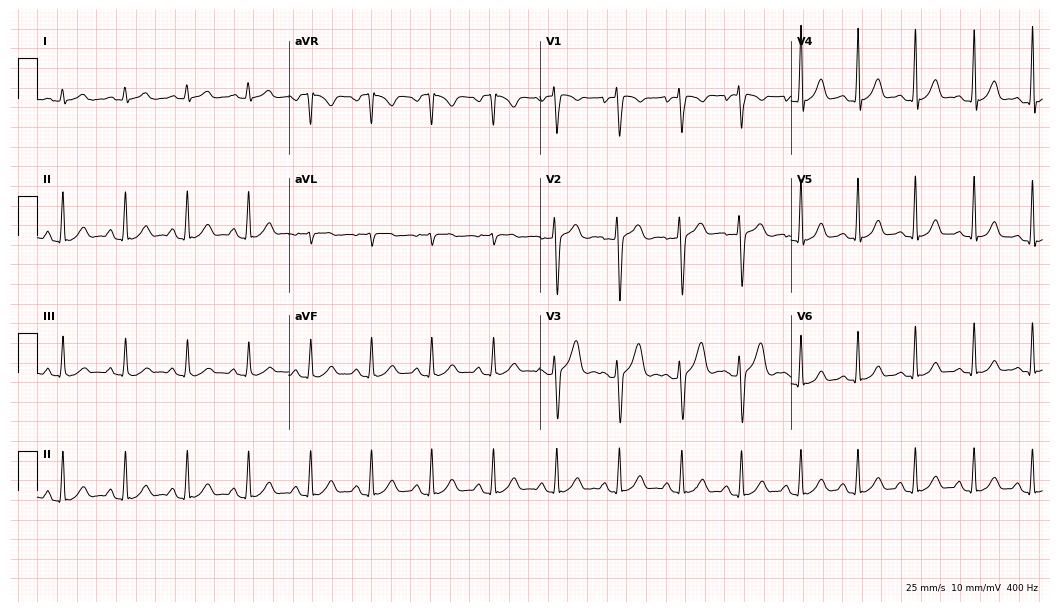
Resting 12-lead electrocardiogram (10.2-second recording at 400 Hz). Patient: a female, 18 years old. Read as a normal ECG.